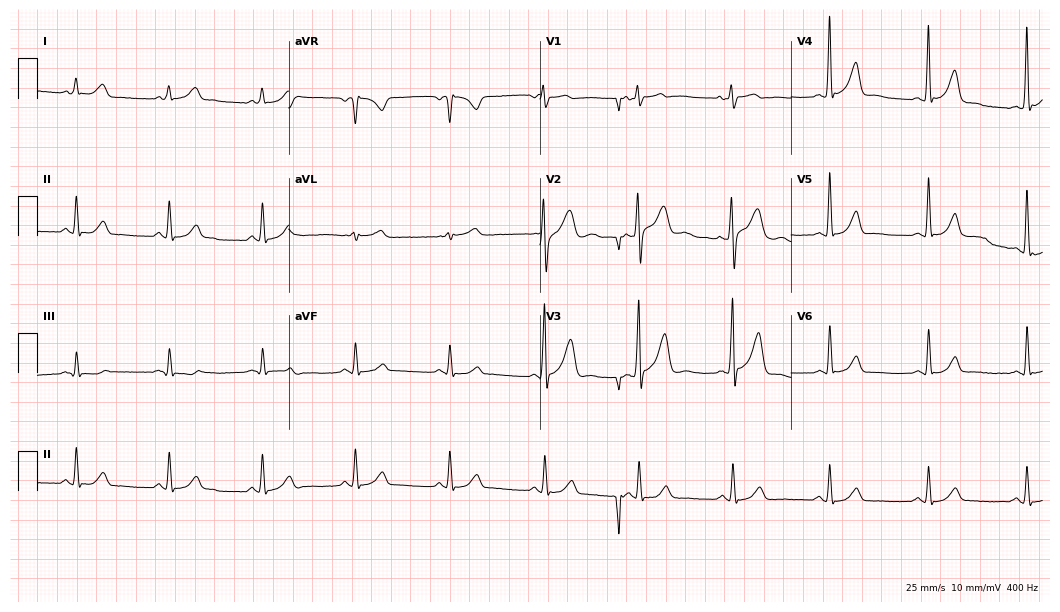
Electrocardiogram (10.2-second recording at 400 Hz), a 49-year-old male. Overall reading on record: normal ECG.